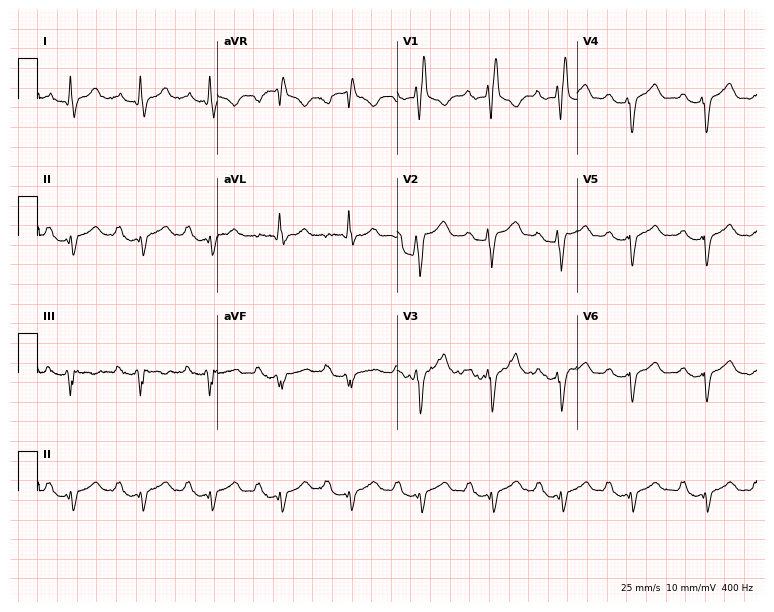
Electrocardiogram (7.3-second recording at 400 Hz), a 43-year-old man. Interpretation includes first-degree AV block, right bundle branch block.